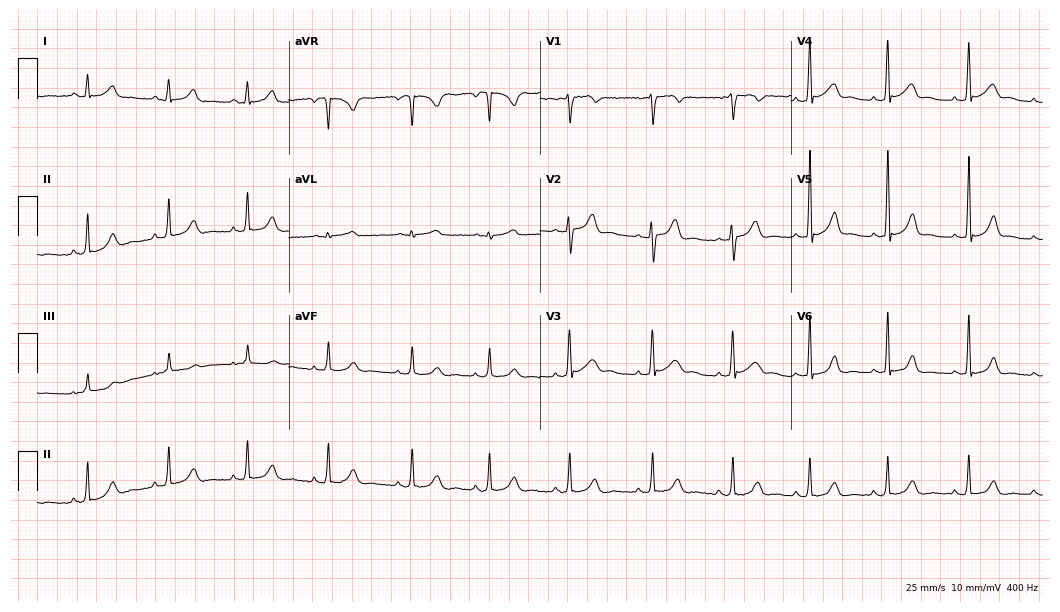
Resting 12-lead electrocardiogram. Patient: a 24-year-old male. Read as a normal ECG.